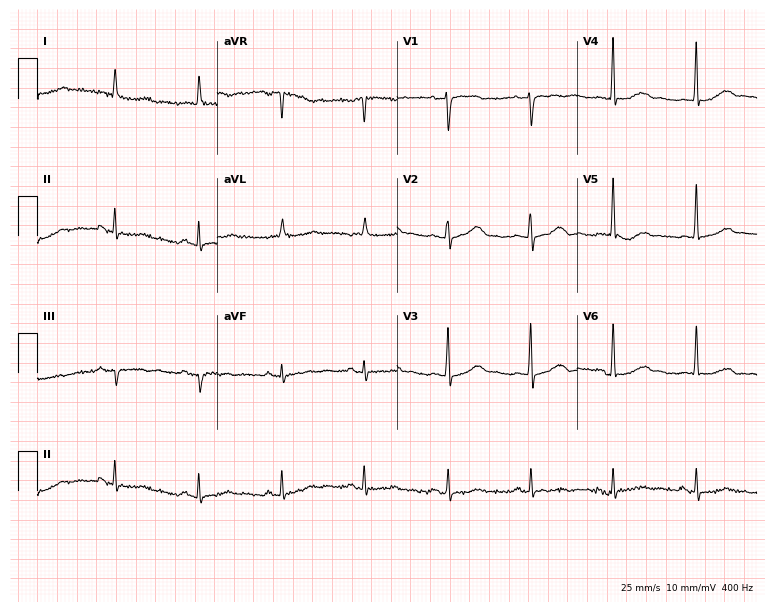
12-lead ECG from a female, 87 years old. Labelled as a normal ECG.